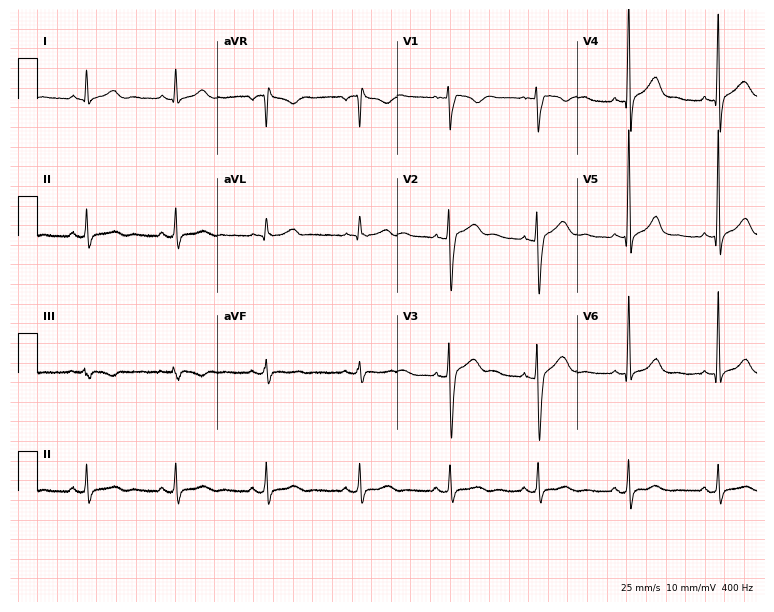
Standard 12-lead ECG recorded from a male, 33 years old (7.3-second recording at 400 Hz). Read as a normal ECG.